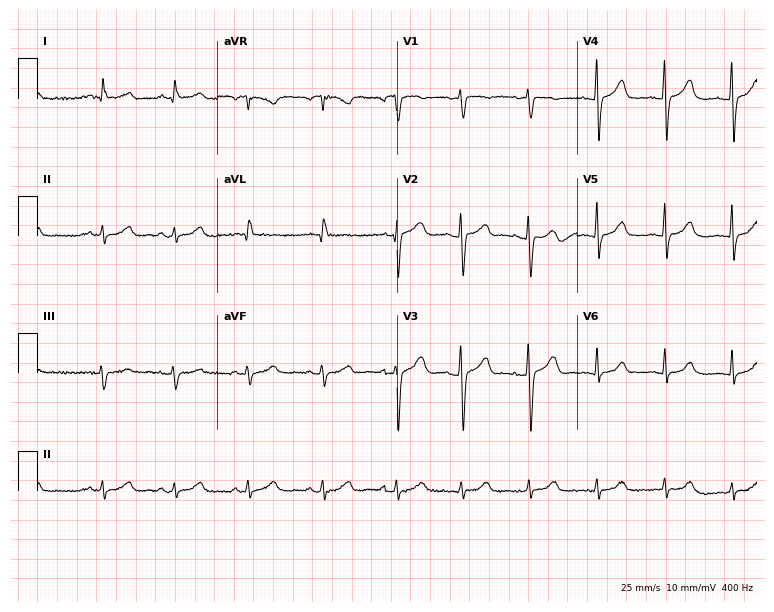
ECG (7.3-second recording at 400 Hz) — a female patient, 55 years old. Labelled as a normal ECG.